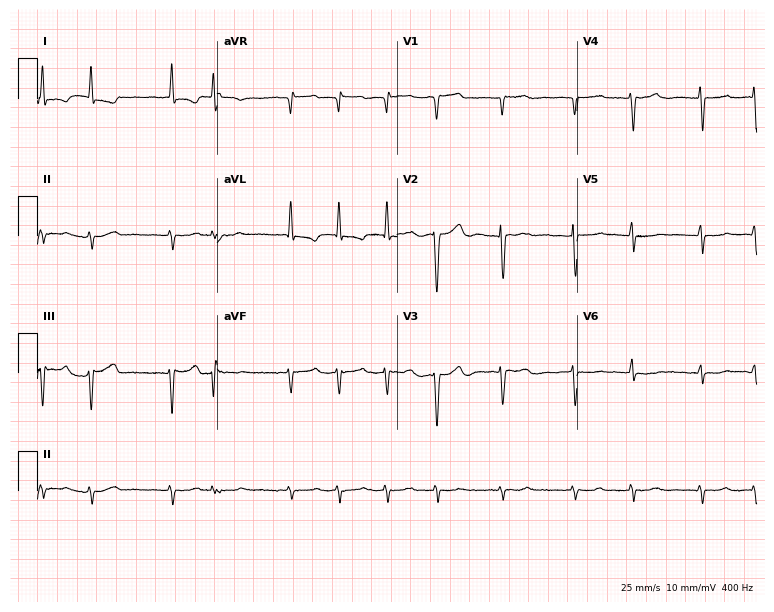
Electrocardiogram (7.3-second recording at 400 Hz), an 83-year-old woman. Interpretation includes atrial fibrillation.